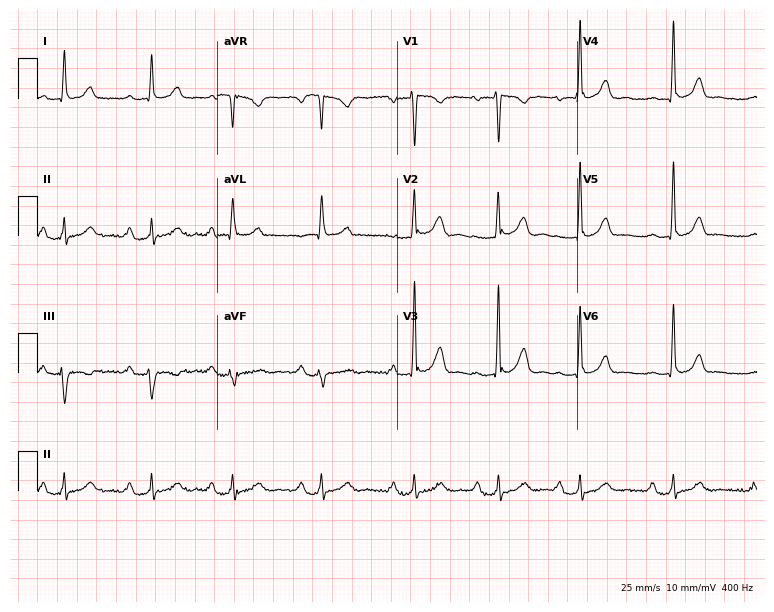
Electrocardiogram (7.3-second recording at 400 Hz), a woman, 32 years old. Interpretation includes first-degree AV block.